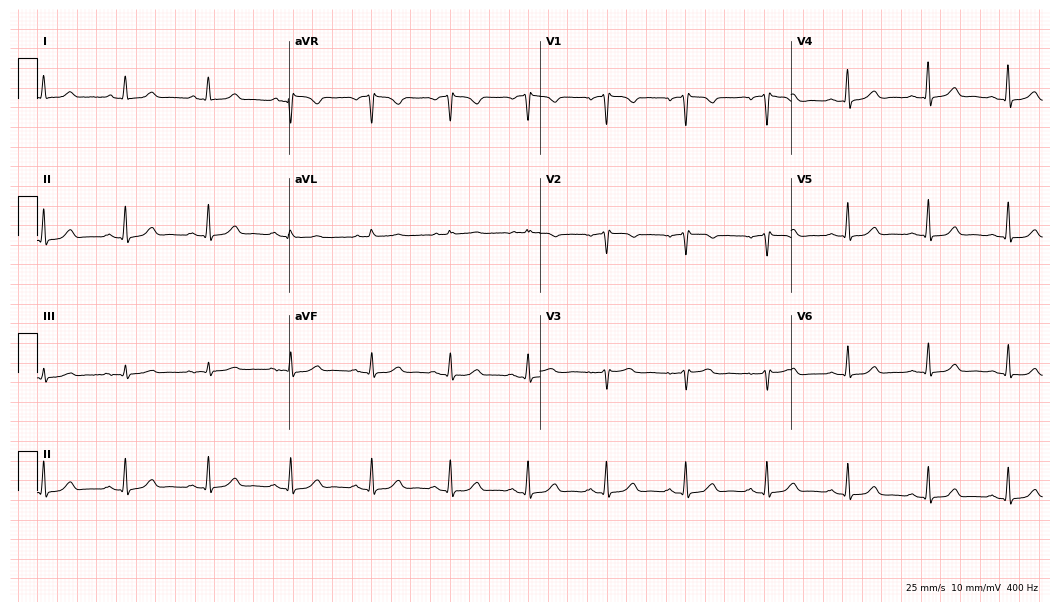
Resting 12-lead electrocardiogram (10.2-second recording at 400 Hz). Patient: a female, 48 years old. None of these six findings is recorded: first-degree AV block, right bundle branch block, left bundle branch block, sinus bradycardia, atrial fibrillation, sinus tachycardia. Only these six findings were labelled.